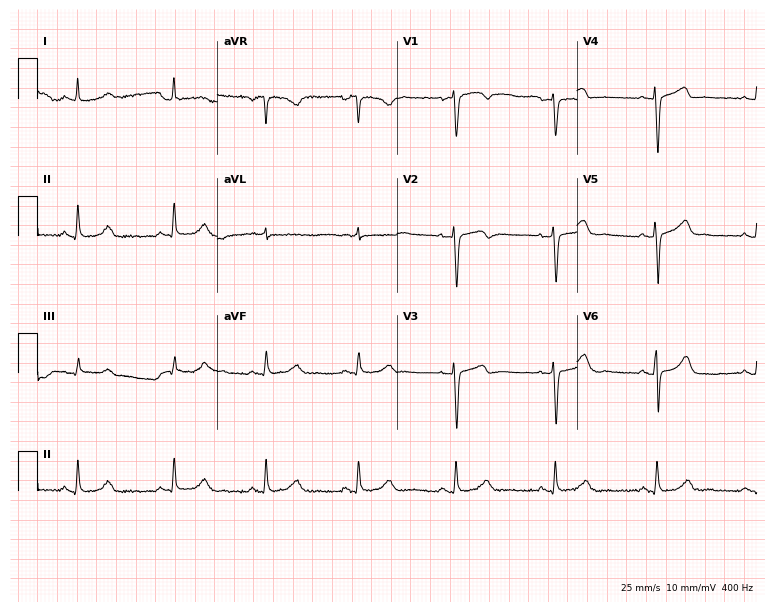
12-lead ECG from a 48-year-old female patient. Screened for six findings — first-degree AV block, right bundle branch block, left bundle branch block, sinus bradycardia, atrial fibrillation, sinus tachycardia — none is recorded.